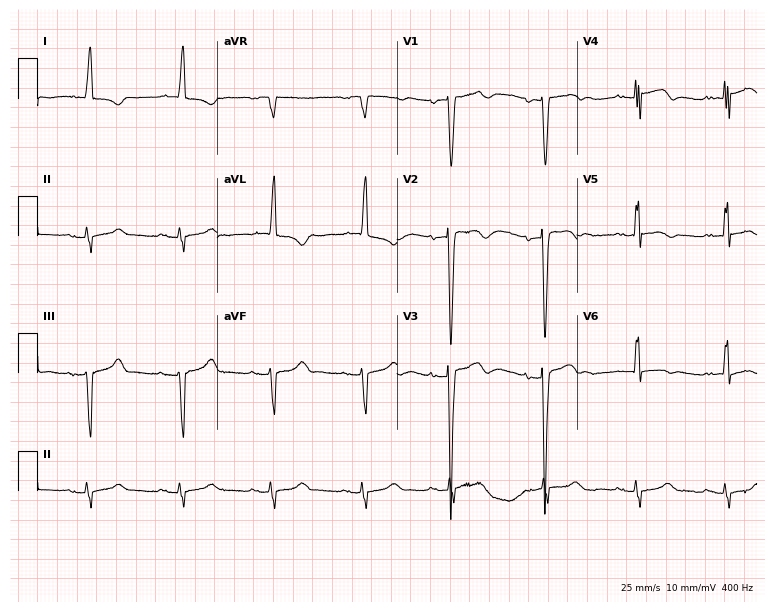
12-lead ECG from a female, 73 years old (7.3-second recording at 400 Hz). No first-degree AV block, right bundle branch block (RBBB), left bundle branch block (LBBB), sinus bradycardia, atrial fibrillation (AF) or sinus tachycardia recorded for this tracing.